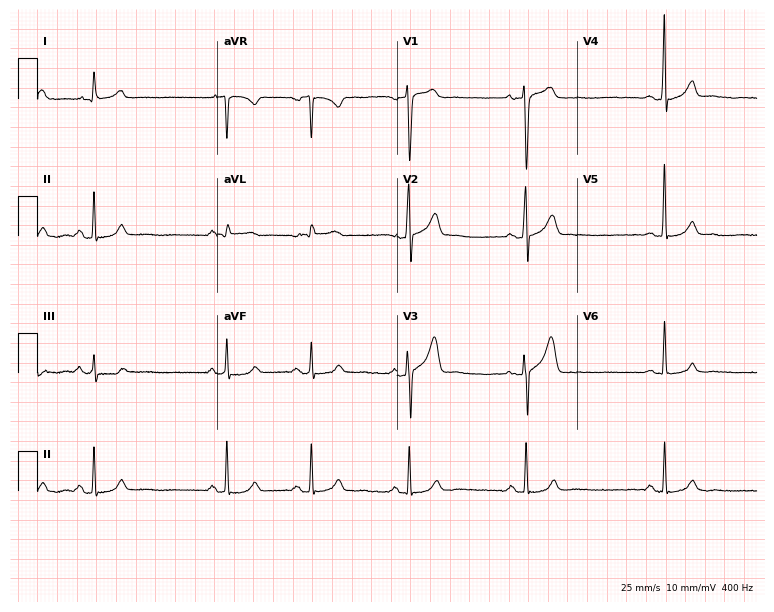
Resting 12-lead electrocardiogram (7.3-second recording at 400 Hz). Patient: a male, 27 years old. Read as a normal ECG.